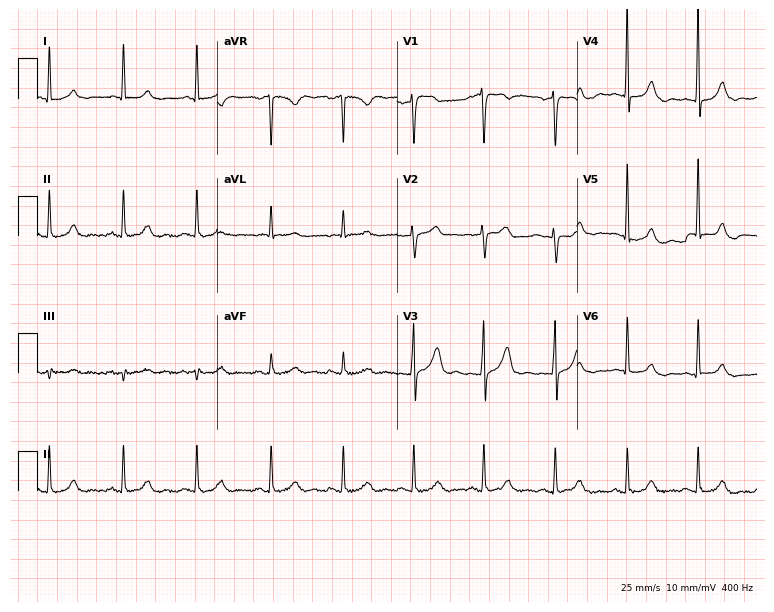
12-lead ECG from a woman, 40 years old. Labelled as a normal ECG.